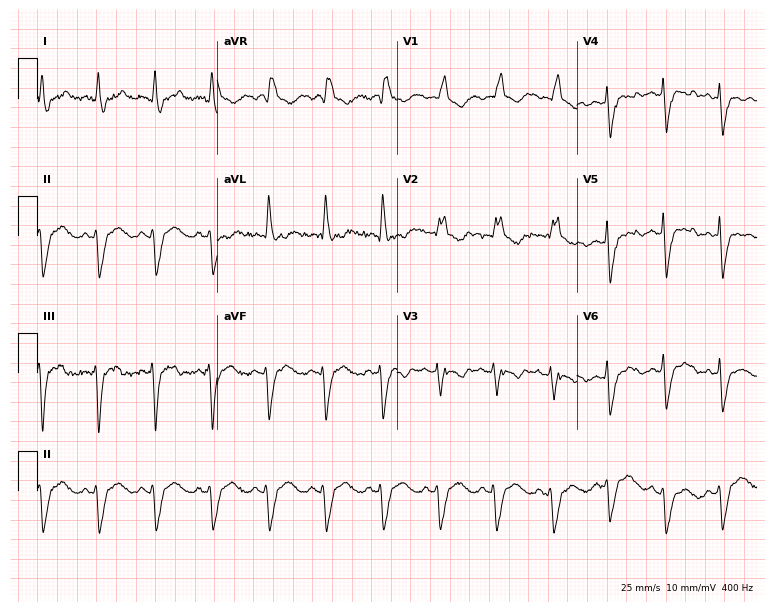
Resting 12-lead electrocardiogram (7.3-second recording at 400 Hz). Patient: a 50-year-old woman. The tracing shows right bundle branch block, sinus tachycardia (a sinus rate of 100 beats per minute or more).